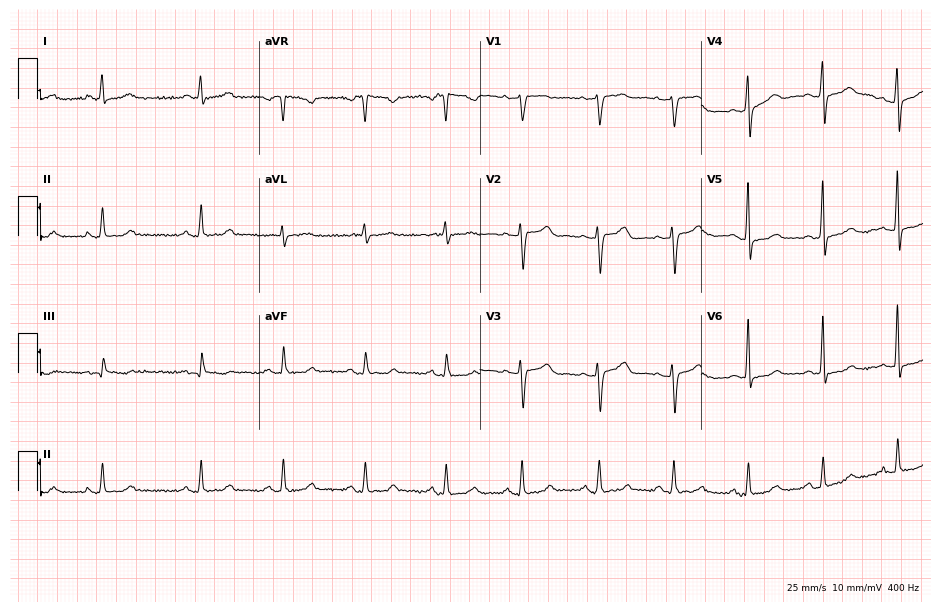
ECG (9-second recording at 400 Hz) — a 56-year-old female. Screened for six findings — first-degree AV block, right bundle branch block, left bundle branch block, sinus bradycardia, atrial fibrillation, sinus tachycardia — none is recorded.